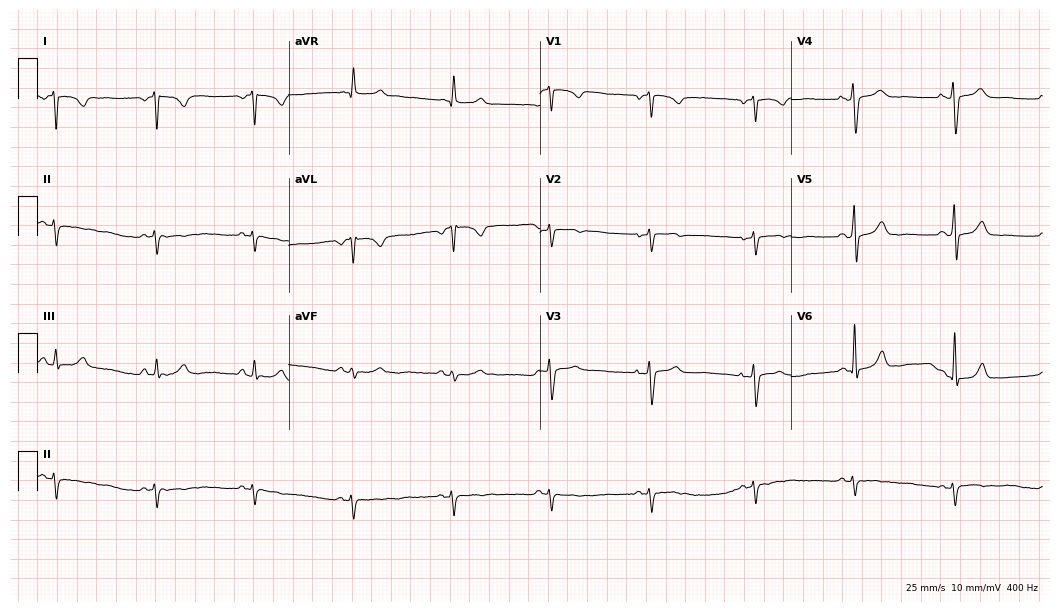
12-lead ECG from a female, 59 years old. Screened for six findings — first-degree AV block, right bundle branch block, left bundle branch block, sinus bradycardia, atrial fibrillation, sinus tachycardia — none is recorded. Only these six findings were labelled.